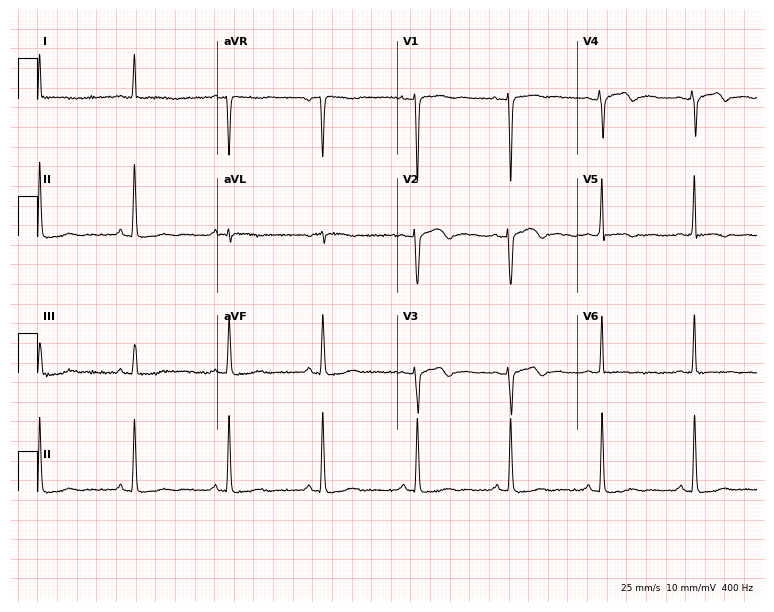
12-lead ECG from a 38-year-old female patient. Recorded interpretation: within normal limits.